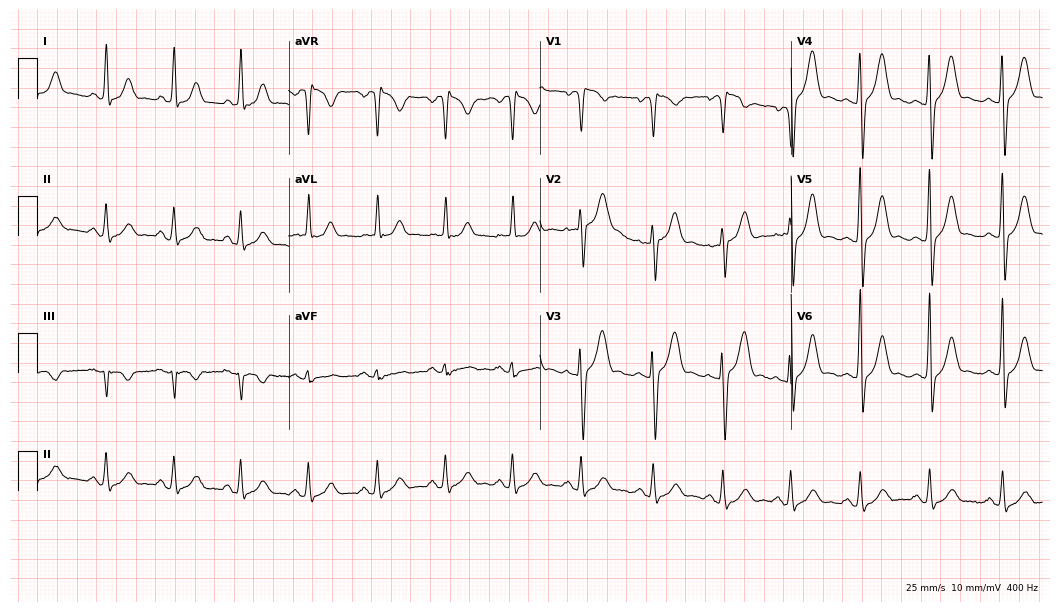
ECG (10.2-second recording at 400 Hz) — a 19-year-old man. Screened for six findings — first-degree AV block, right bundle branch block, left bundle branch block, sinus bradycardia, atrial fibrillation, sinus tachycardia — none is recorded. Findings outside these six are not listed.